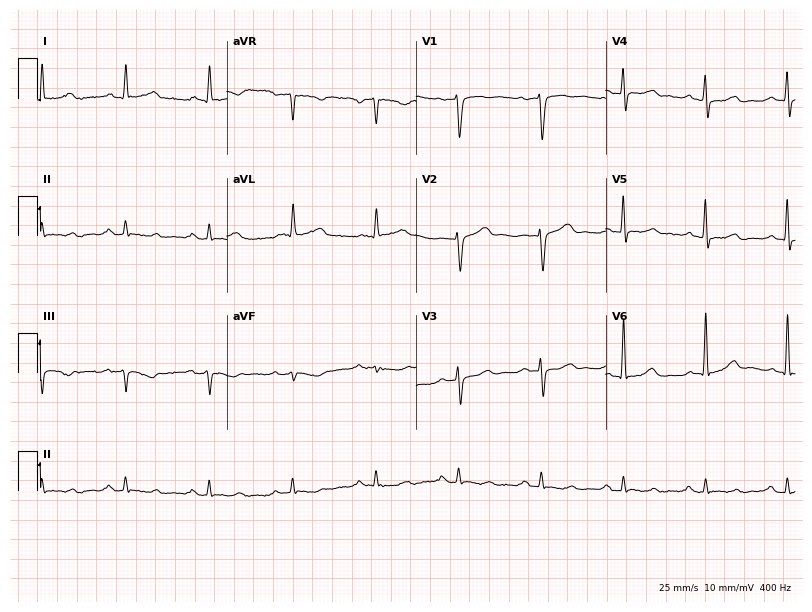
12-lead ECG from a 72-year-old male patient. No first-degree AV block, right bundle branch block, left bundle branch block, sinus bradycardia, atrial fibrillation or sinus tachycardia recorded for this tracing.